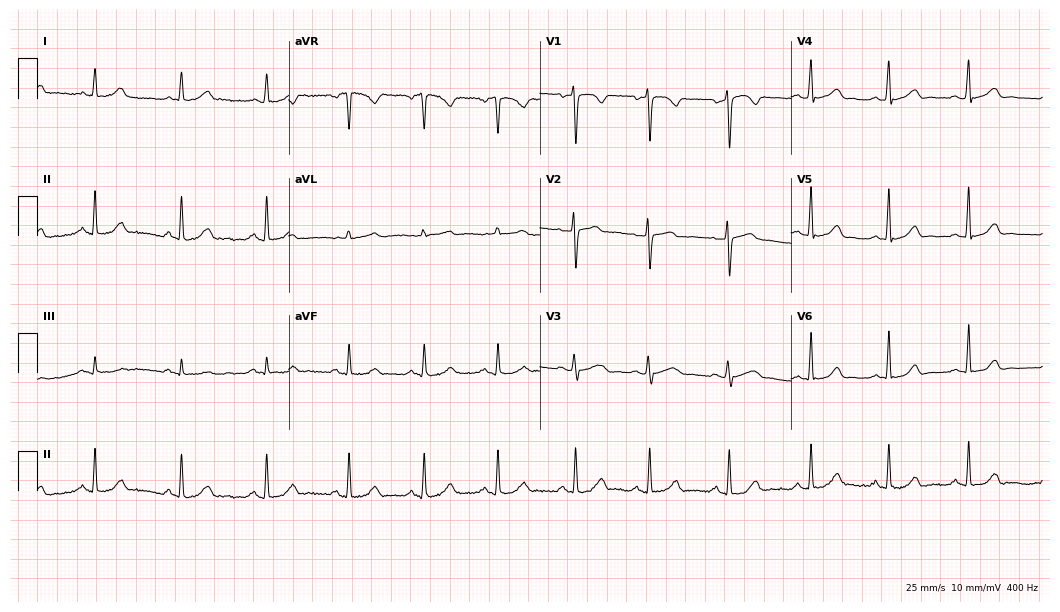
Standard 12-lead ECG recorded from a female patient, 25 years old (10.2-second recording at 400 Hz). Read as a normal ECG.